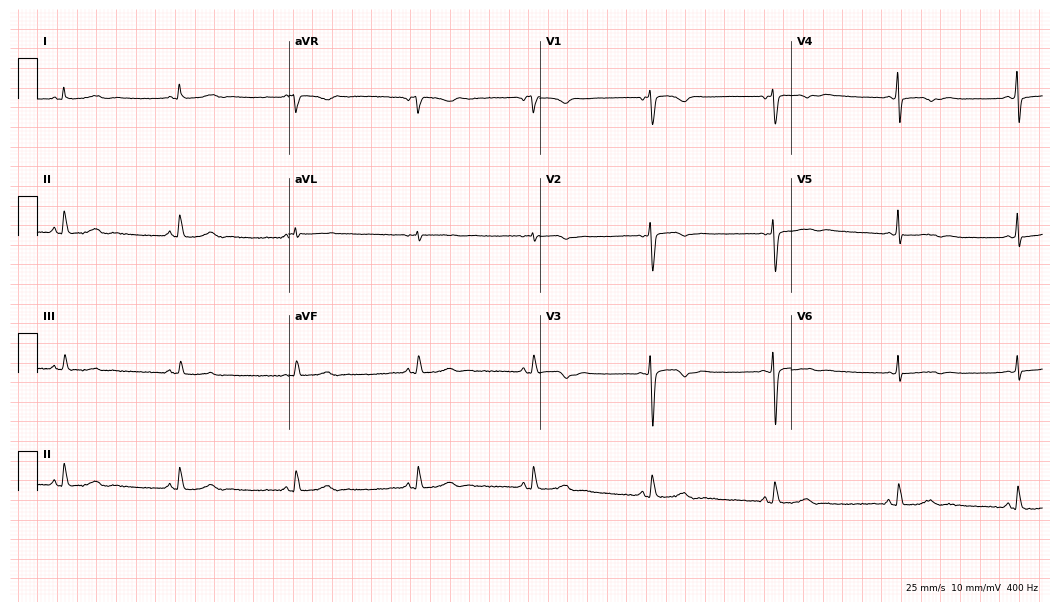
Standard 12-lead ECG recorded from a woman, 54 years old (10.2-second recording at 400 Hz). None of these six findings is recorded: first-degree AV block, right bundle branch block, left bundle branch block, sinus bradycardia, atrial fibrillation, sinus tachycardia.